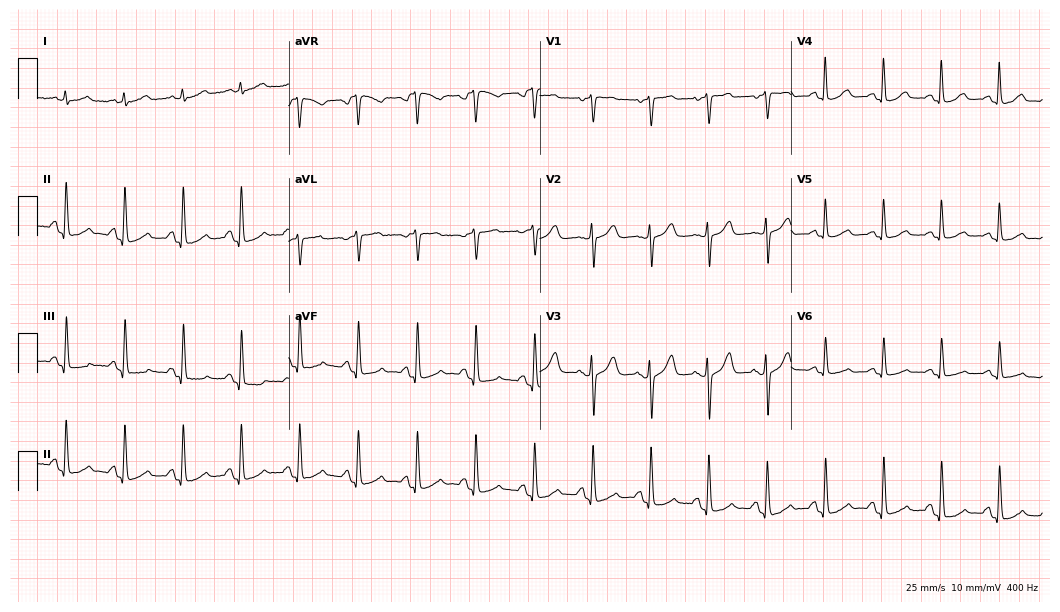
ECG — a 63-year-old woman. Labelled as a normal ECG.